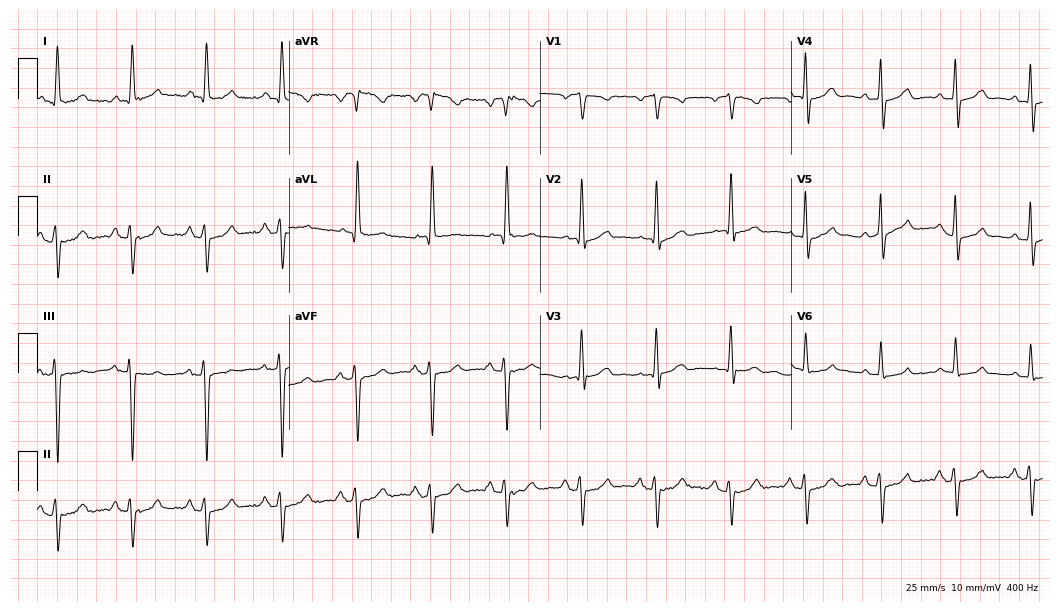
ECG — a female, 84 years old. Screened for six findings — first-degree AV block, right bundle branch block, left bundle branch block, sinus bradycardia, atrial fibrillation, sinus tachycardia — none is recorded.